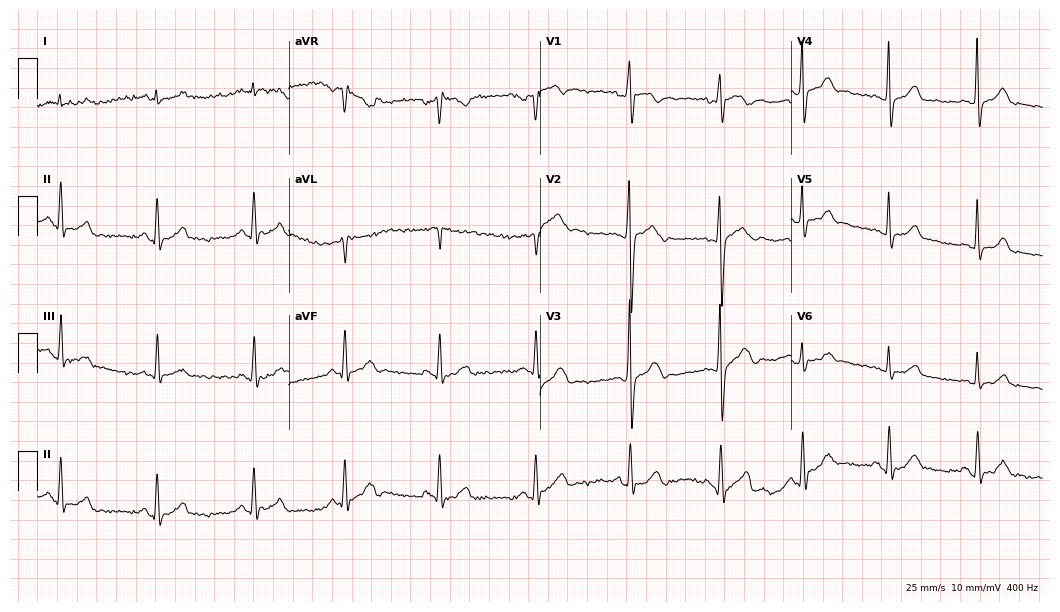
Standard 12-lead ECG recorded from a male, 28 years old (10.2-second recording at 400 Hz). None of these six findings is recorded: first-degree AV block, right bundle branch block, left bundle branch block, sinus bradycardia, atrial fibrillation, sinus tachycardia.